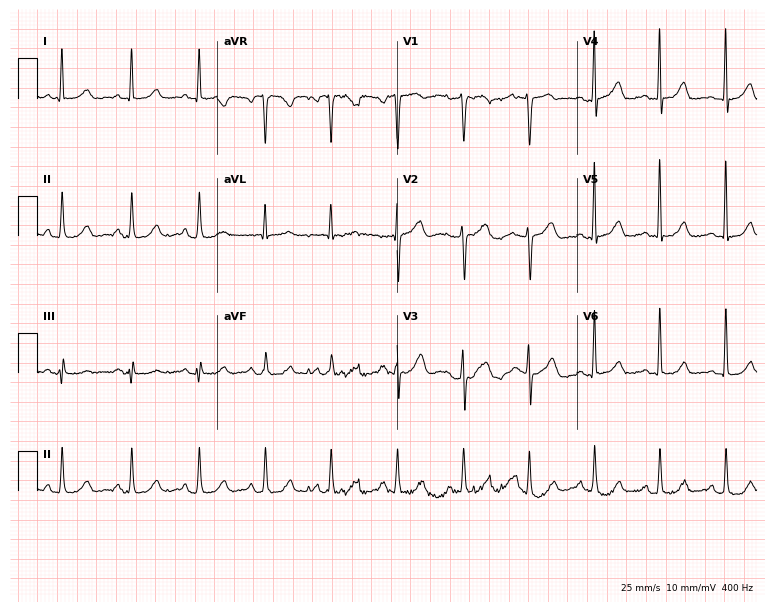
12-lead ECG from a woman, 55 years old. Labelled as a normal ECG.